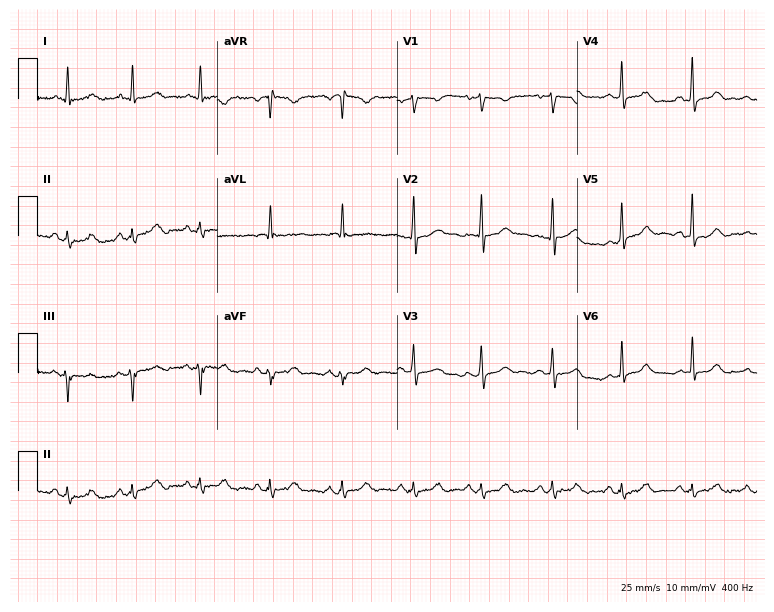
12-lead ECG from a female patient, 48 years old (7.3-second recording at 400 Hz). Recorded interpretation: within normal limits.